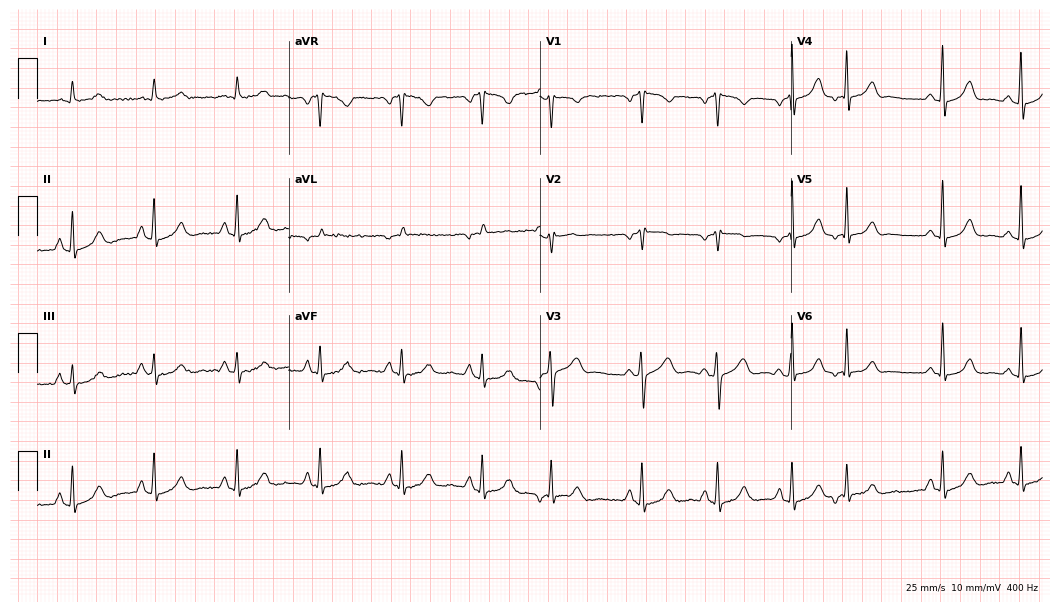
Electrocardiogram (10.2-second recording at 400 Hz), a 53-year-old female. Overall reading on record: normal ECG.